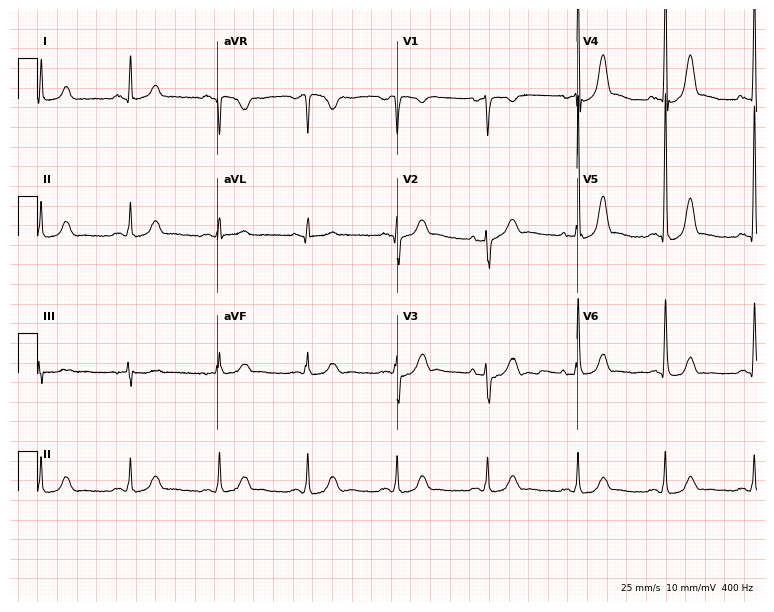
12-lead ECG from a woman, 55 years old (7.3-second recording at 400 Hz). No first-degree AV block, right bundle branch block, left bundle branch block, sinus bradycardia, atrial fibrillation or sinus tachycardia recorded for this tracing. Only these six findings were labelled.